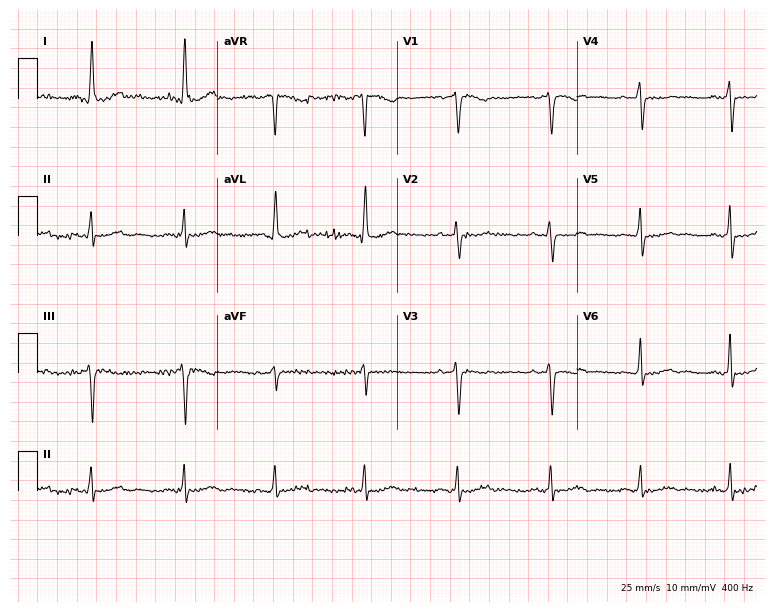
12-lead ECG (7.3-second recording at 400 Hz) from a 70-year-old female. Screened for six findings — first-degree AV block, right bundle branch block, left bundle branch block, sinus bradycardia, atrial fibrillation, sinus tachycardia — none is recorded.